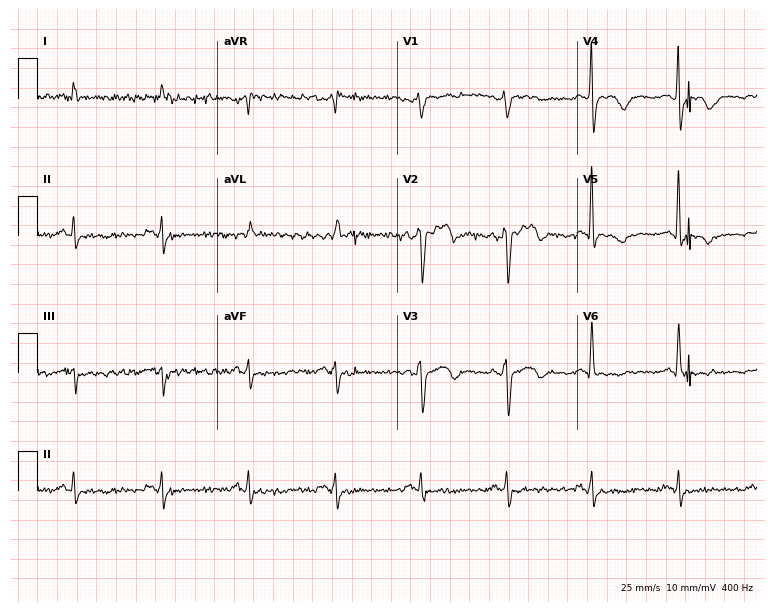
Resting 12-lead electrocardiogram. Patient: a female, 63 years old. None of these six findings is recorded: first-degree AV block, right bundle branch block, left bundle branch block, sinus bradycardia, atrial fibrillation, sinus tachycardia. Other findings, if any, are not listed.